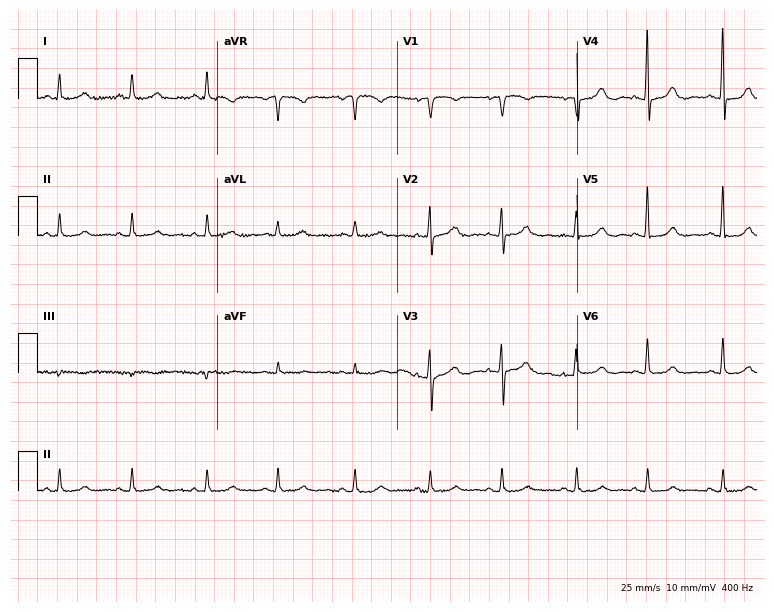
12-lead ECG from a 64-year-old female. Screened for six findings — first-degree AV block, right bundle branch block, left bundle branch block, sinus bradycardia, atrial fibrillation, sinus tachycardia — none is recorded.